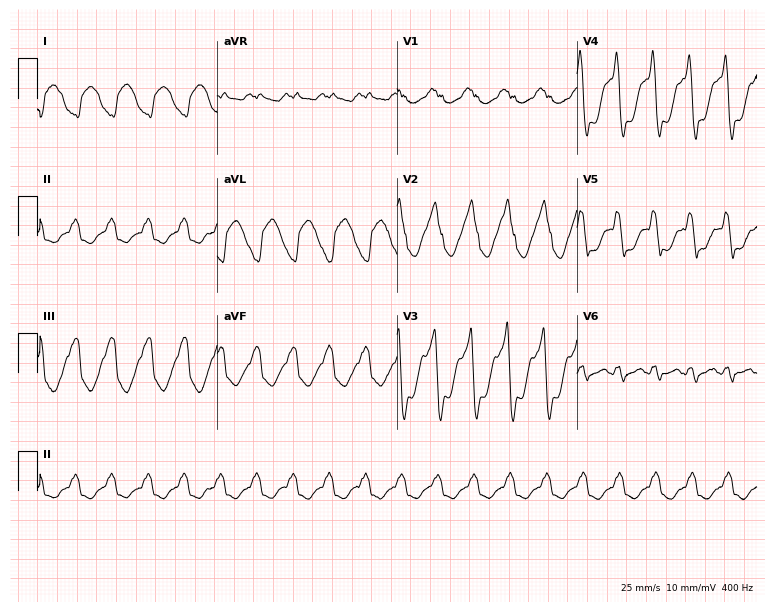
12-lead ECG from a male patient, 78 years old. Screened for six findings — first-degree AV block, right bundle branch block (RBBB), left bundle branch block (LBBB), sinus bradycardia, atrial fibrillation (AF), sinus tachycardia — none is recorded. Other findings, if any, are not listed.